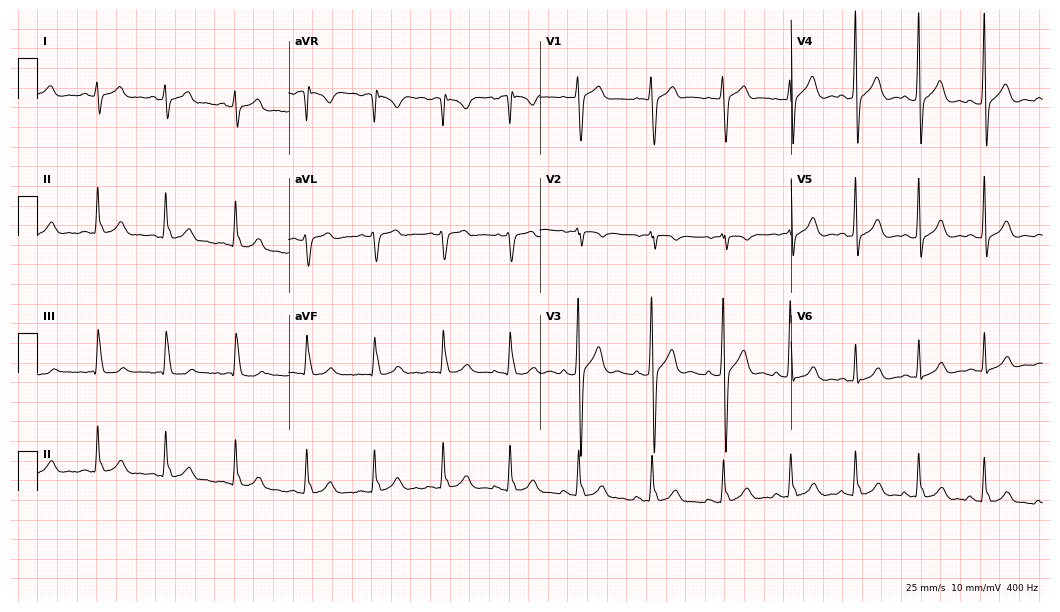
ECG (10.2-second recording at 400 Hz) — a 17-year-old man. Labelled as a normal ECG.